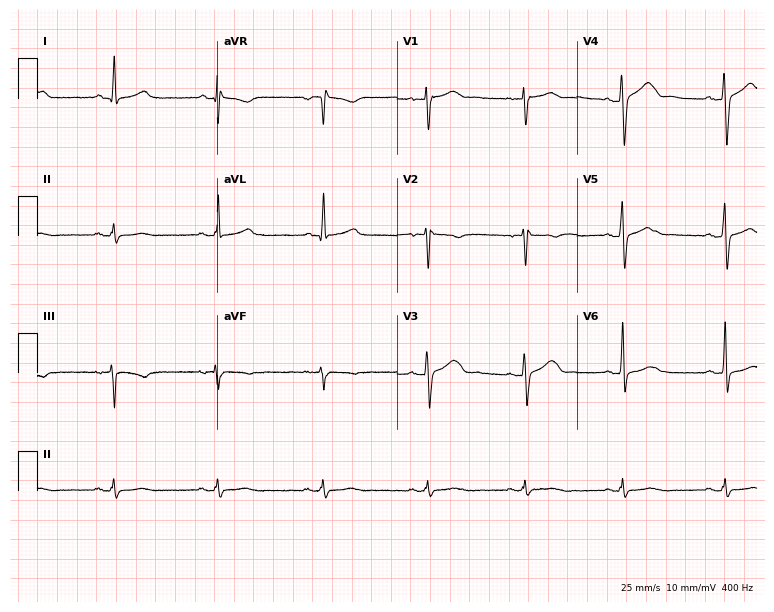
ECG — a 45-year-old male patient. Screened for six findings — first-degree AV block, right bundle branch block (RBBB), left bundle branch block (LBBB), sinus bradycardia, atrial fibrillation (AF), sinus tachycardia — none is recorded. Findings outside these six are not listed.